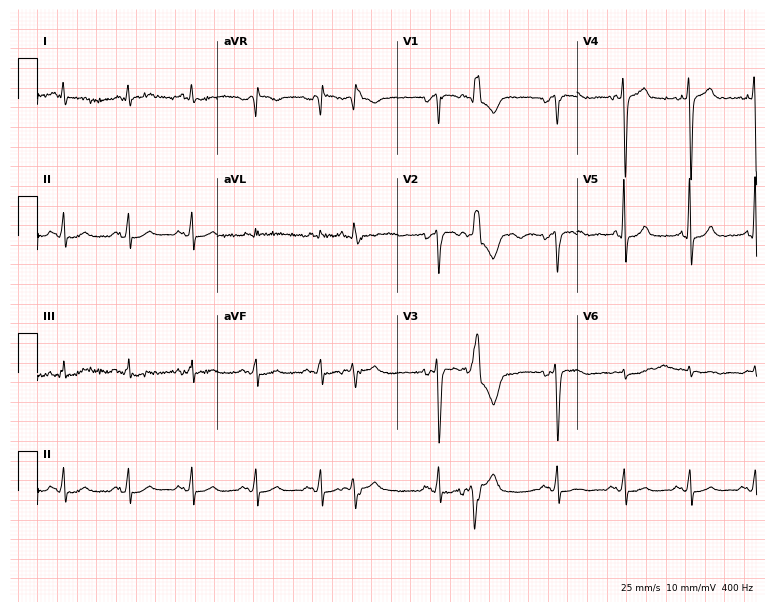
Electrocardiogram (7.3-second recording at 400 Hz), a man, 82 years old. Of the six screened findings (first-degree AV block, right bundle branch block, left bundle branch block, sinus bradycardia, atrial fibrillation, sinus tachycardia), none is recorded.